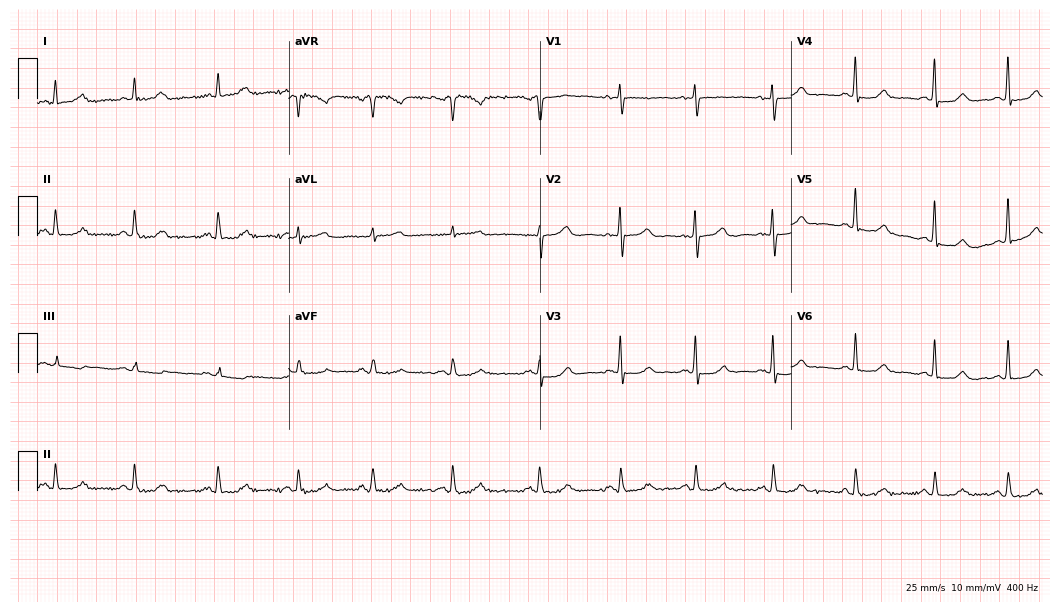
Electrocardiogram, a woman, 61 years old. Overall reading on record: normal ECG.